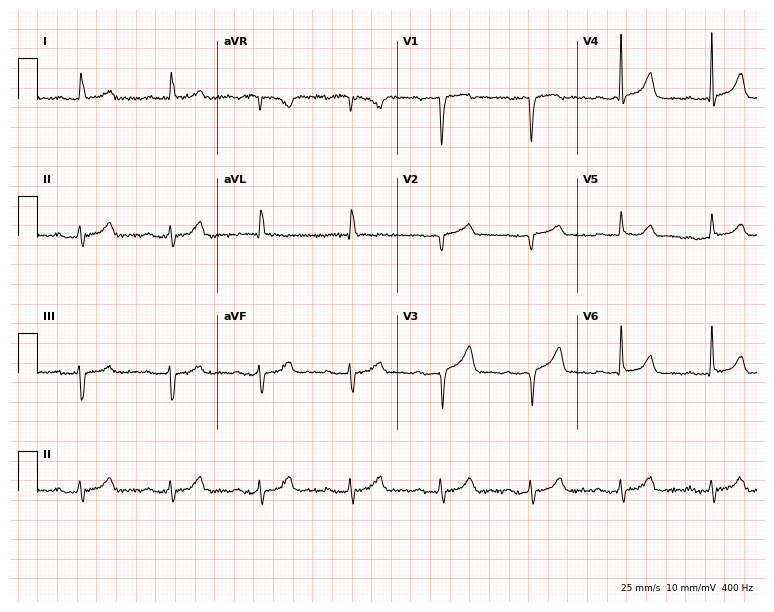
Standard 12-lead ECG recorded from a 72-year-old man (7.3-second recording at 400 Hz). Read as a normal ECG.